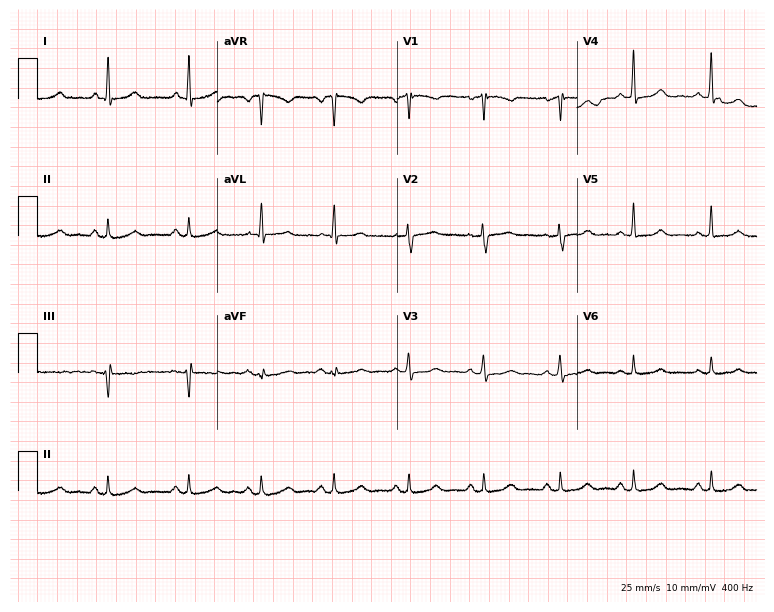
Electrocardiogram, a 65-year-old woman. Overall reading on record: normal ECG.